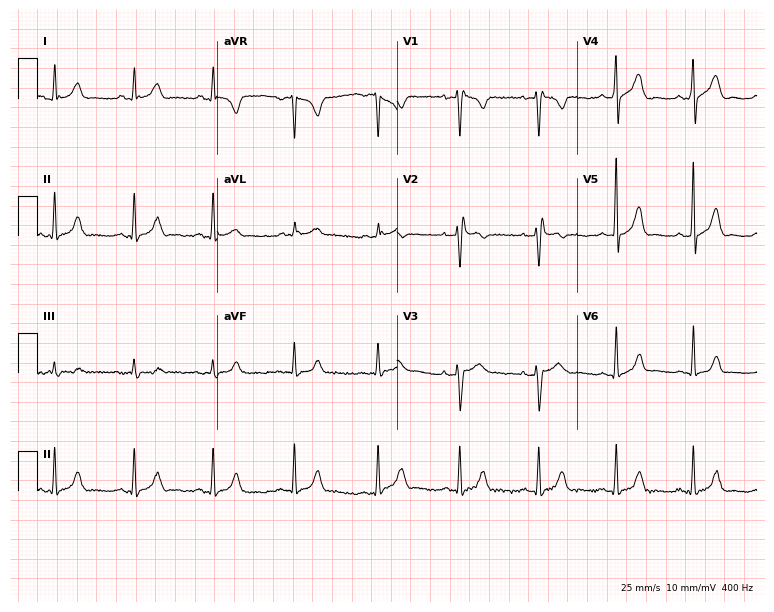
12-lead ECG from a male patient, 36 years old. No first-degree AV block, right bundle branch block, left bundle branch block, sinus bradycardia, atrial fibrillation or sinus tachycardia recorded for this tracing.